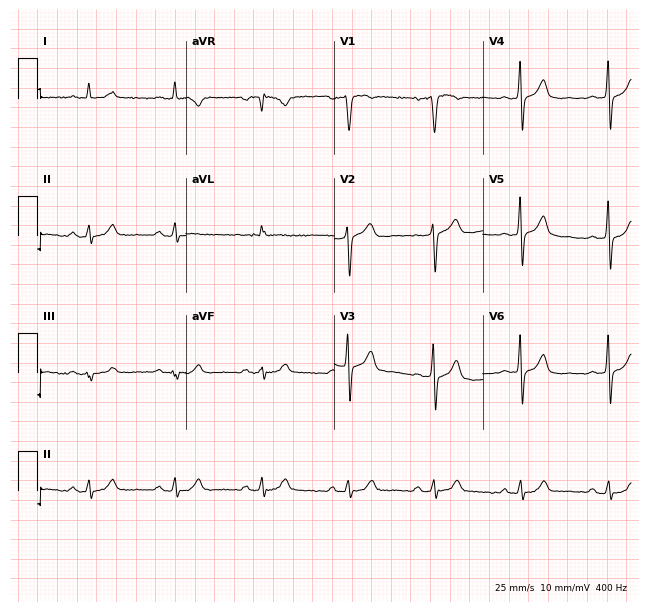
Resting 12-lead electrocardiogram (6.1-second recording at 400 Hz). Patient: a man, 66 years old. None of these six findings is recorded: first-degree AV block, right bundle branch block (RBBB), left bundle branch block (LBBB), sinus bradycardia, atrial fibrillation (AF), sinus tachycardia. Only these six findings were labelled.